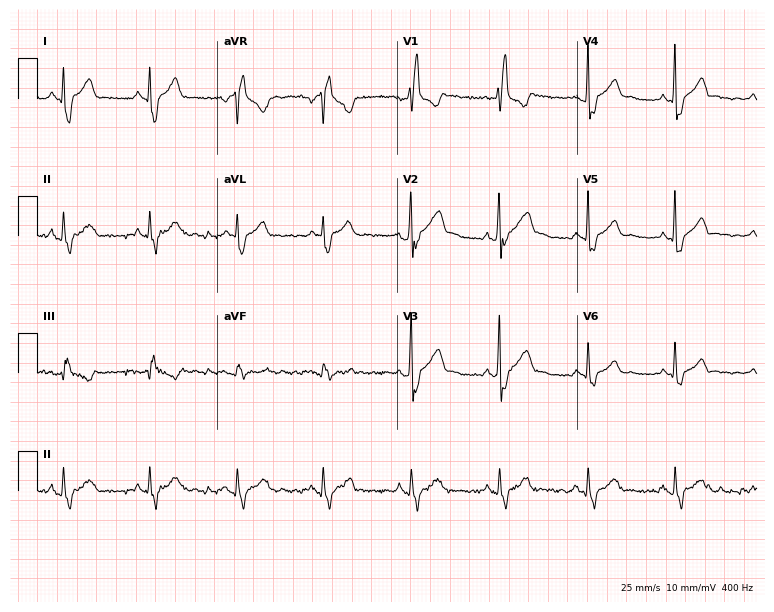
Standard 12-lead ECG recorded from a 43-year-old male (7.3-second recording at 400 Hz). The tracing shows right bundle branch block (RBBB).